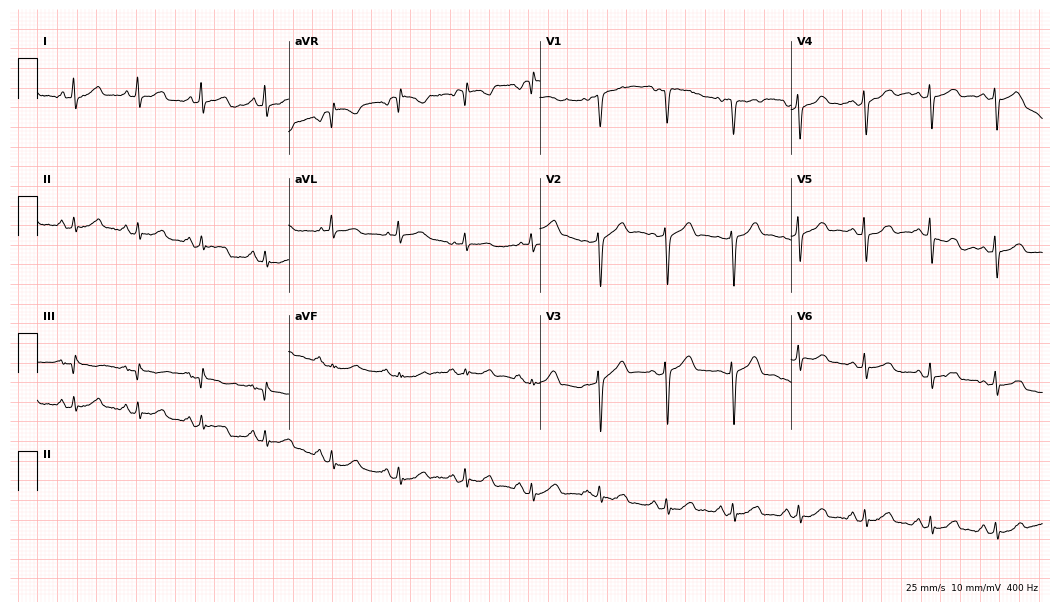
12-lead ECG from a 62-year-old female patient. No first-degree AV block, right bundle branch block, left bundle branch block, sinus bradycardia, atrial fibrillation or sinus tachycardia recorded for this tracing.